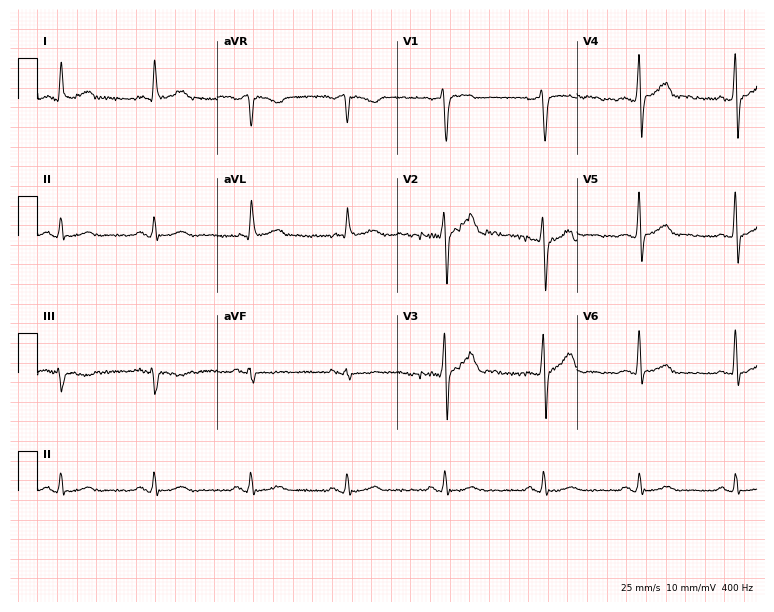
12-lead ECG from a male, 44 years old. No first-degree AV block, right bundle branch block, left bundle branch block, sinus bradycardia, atrial fibrillation or sinus tachycardia recorded for this tracing. Other findings, if any, are not listed.